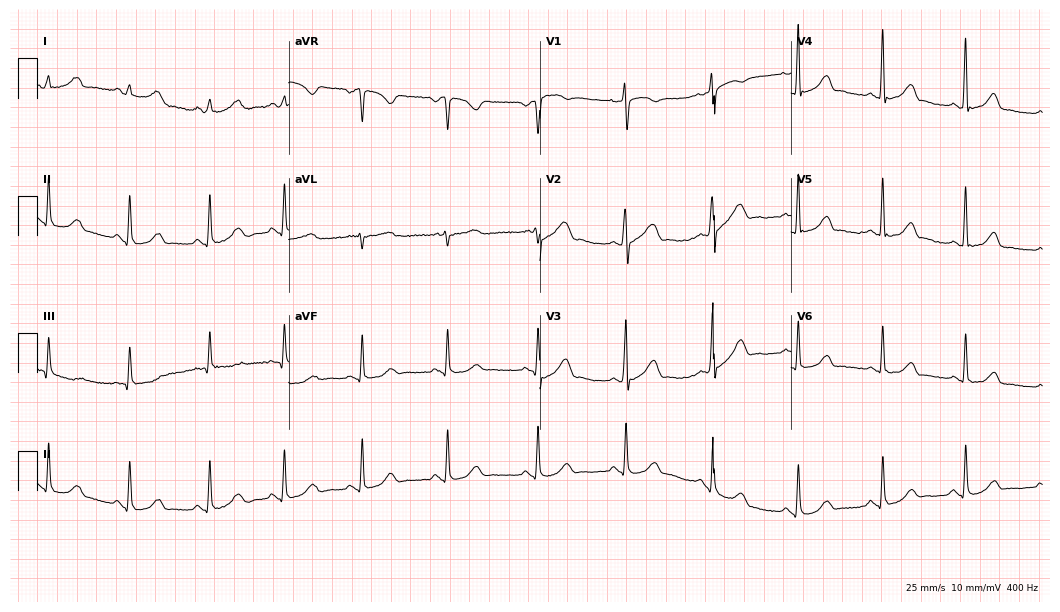
12-lead ECG from a 31-year-old woman. Labelled as a normal ECG.